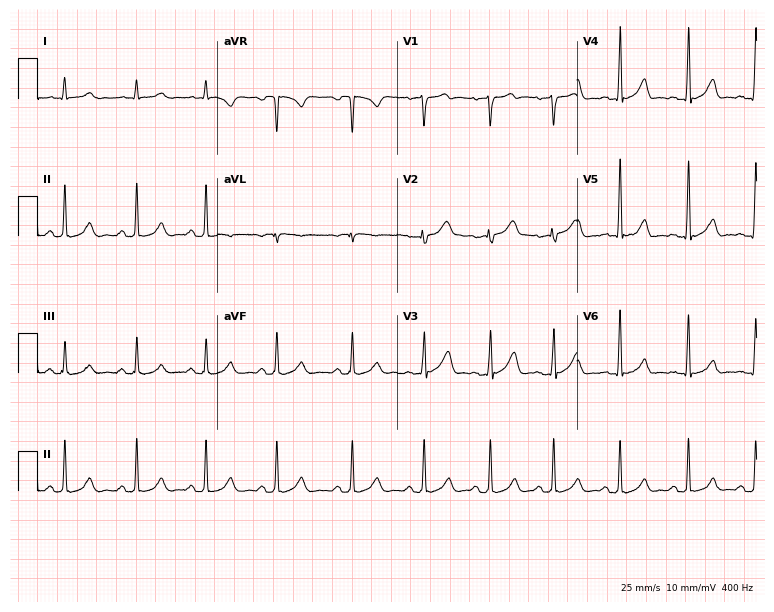
Standard 12-lead ECG recorded from a male patient, 66 years old (7.3-second recording at 400 Hz). Read as a normal ECG.